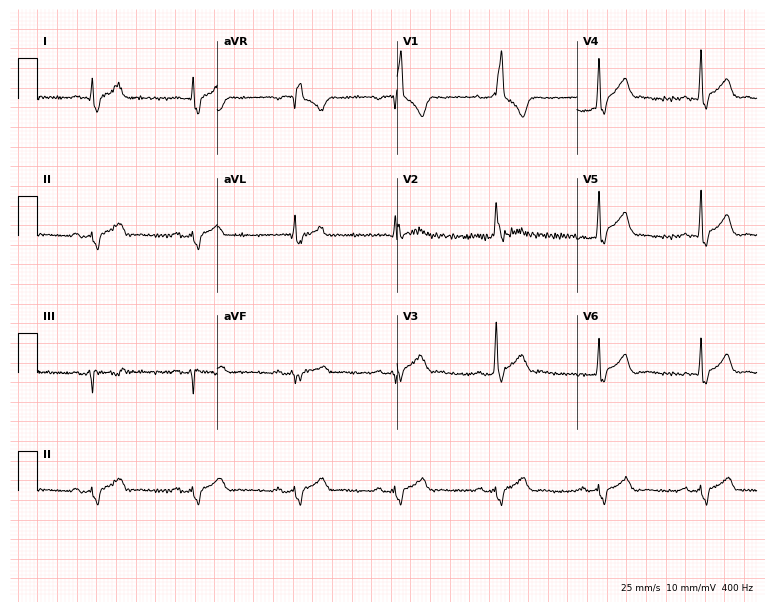
12-lead ECG from a man, 45 years old. Findings include right bundle branch block (RBBB).